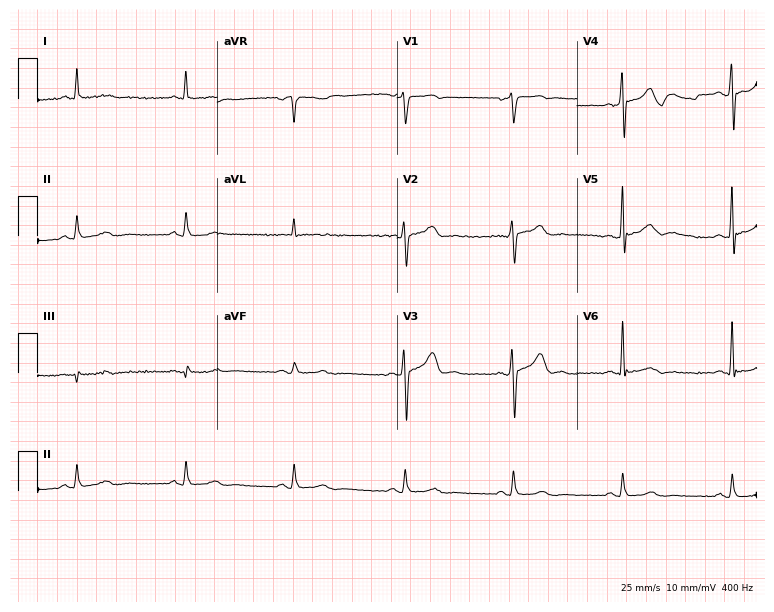
Resting 12-lead electrocardiogram. Patient: a woman, 57 years old. None of these six findings is recorded: first-degree AV block, right bundle branch block, left bundle branch block, sinus bradycardia, atrial fibrillation, sinus tachycardia.